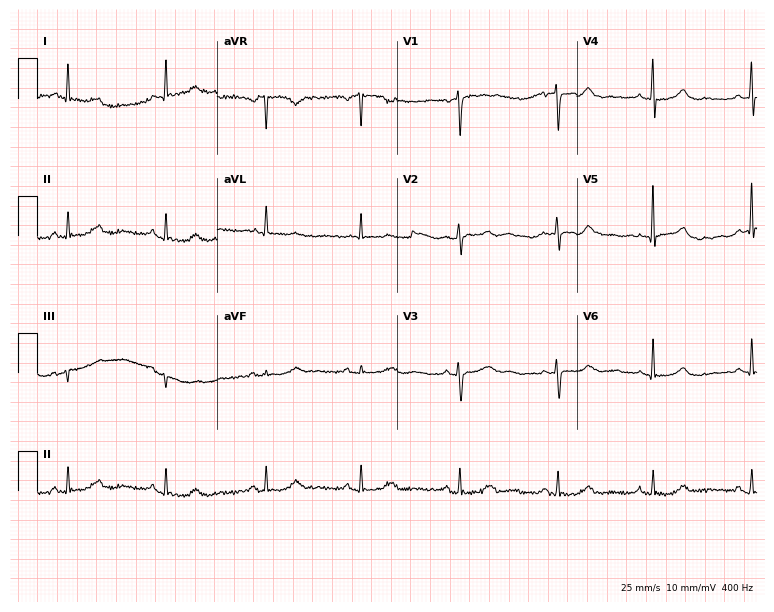
12-lead ECG from a female, 57 years old (7.3-second recording at 400 Hz). Recorded interpretation: within normal limits.